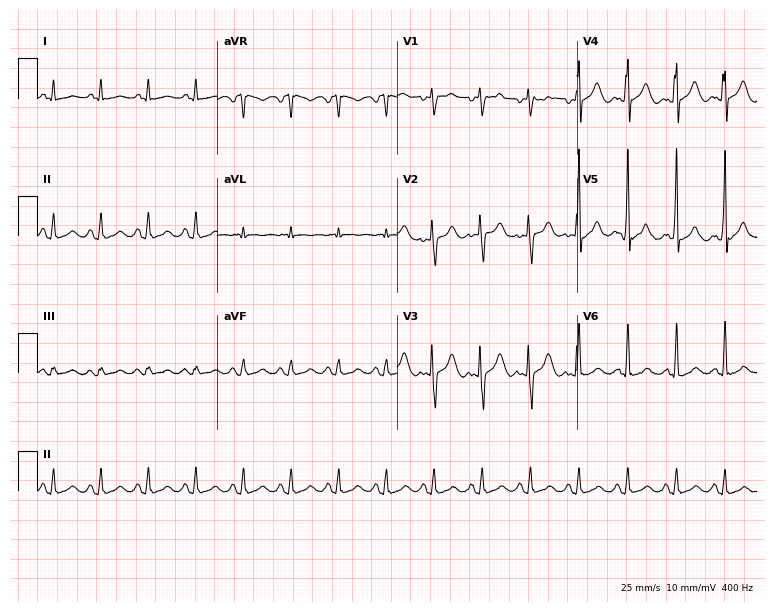
12-lead ECG from a 40-year-old female. Findings include sinus tachycardia (a sinus rate of 100 beats per minute or more).